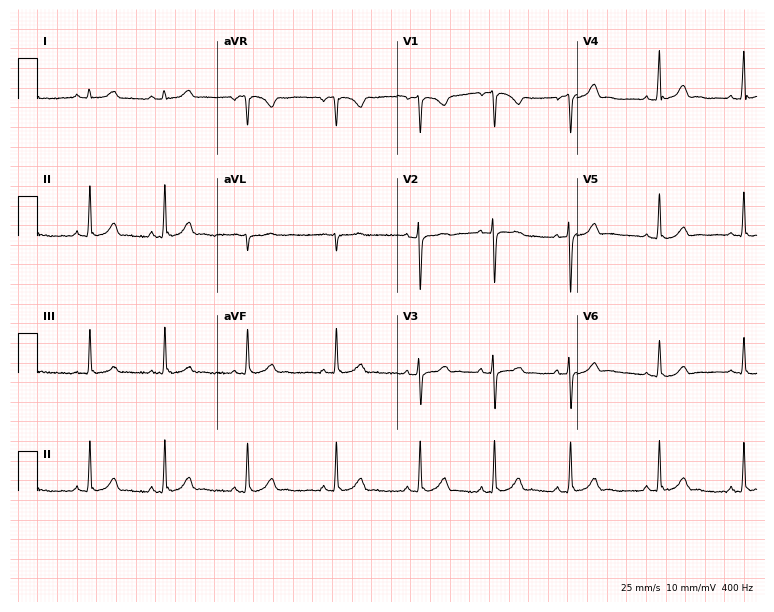
12-lead ECG from a 19-year-old woman. Labelled as a normal ECG.